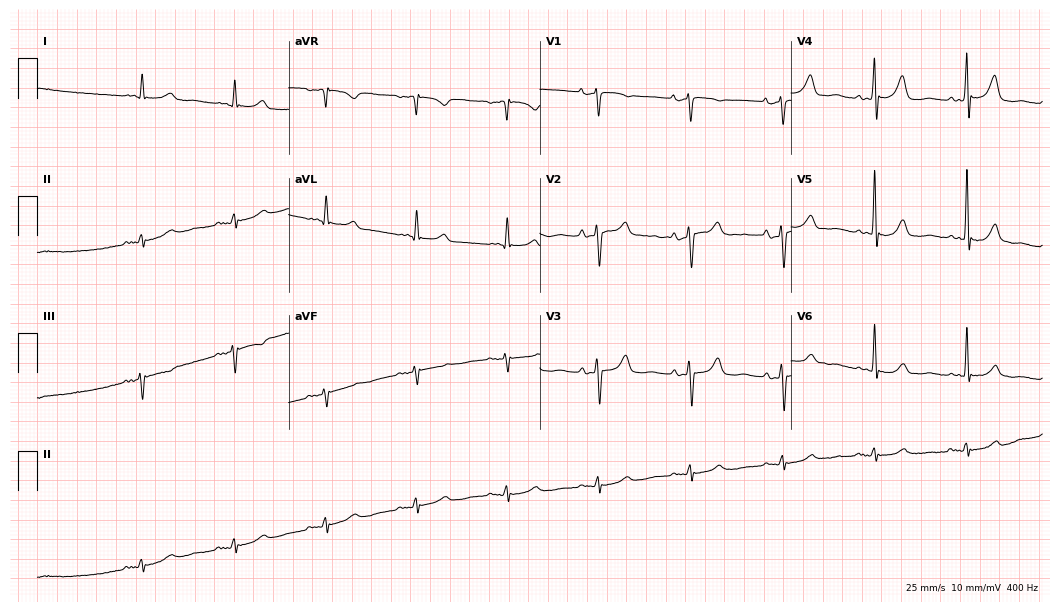
ECG (10.2-second recording at 400 Hz) — a 64-year-old female patient. Screened for six findings — first-degree AV block, right bundle branch block, left bundle branch block, sinus bradycardia, atrial fibrillation, sinus tachycardia — none is recorded. Other findings, if any, are not listed.